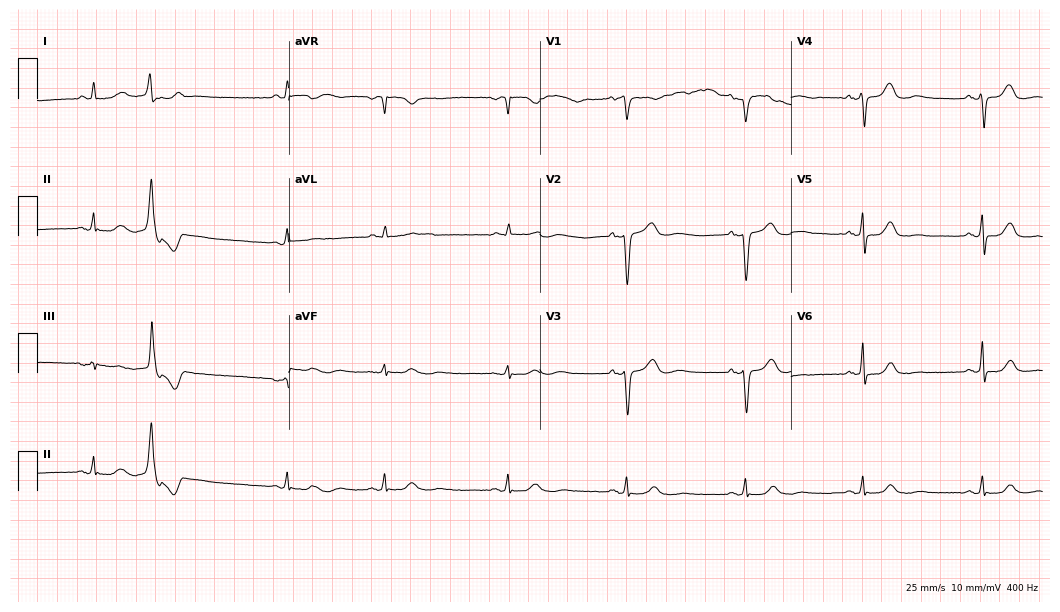
Electrocardiogram (10.2-second recording at 400 Hz), a 63-year-old female patient. Interpretation includes sinus bradycardia (a sinus rate of 50 beats per minute or less).